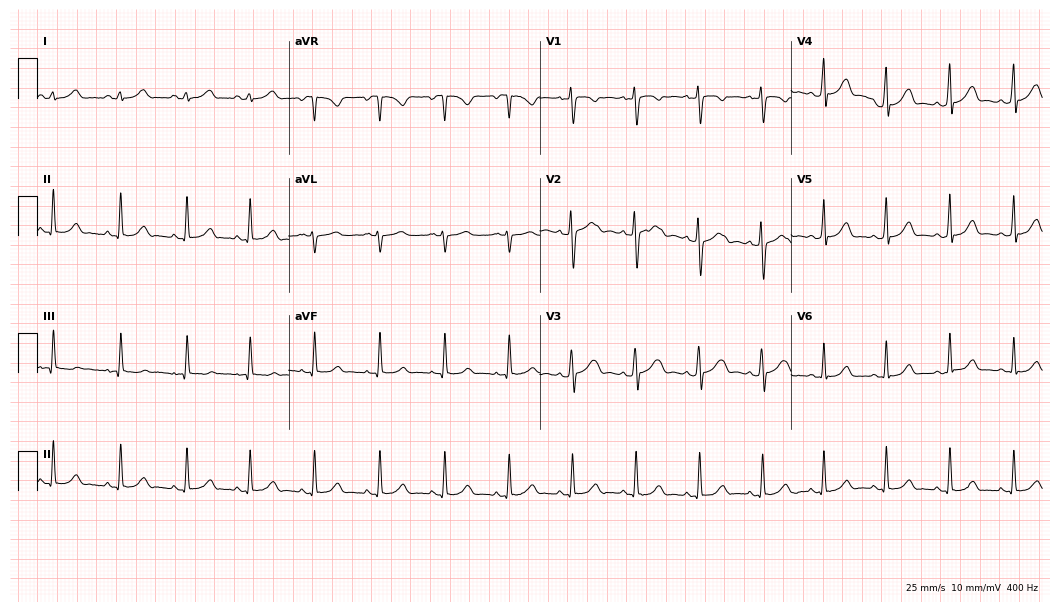
12-lead ECG from a 23-year-old woman (10.2-second recording at 400 Hz). No first-degree AV block, right bundle branch block, left bundle branch block, sinus bradycardia, atrial fibrillation or sinus tachycardia recorded for this tracing.